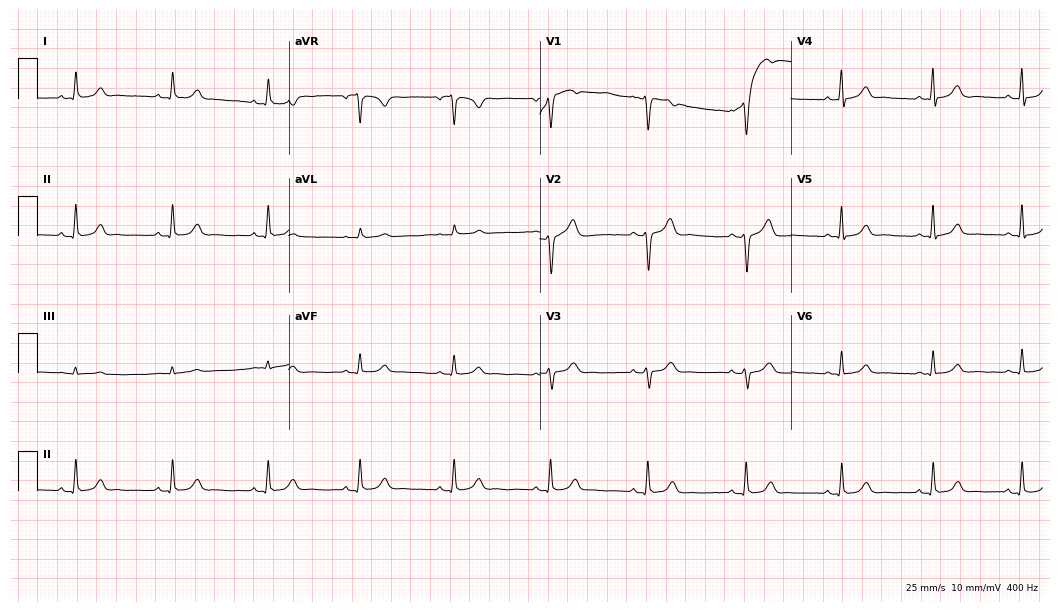
12-lead ECG from a male, 44 years old. Labelled as a normal ECG.